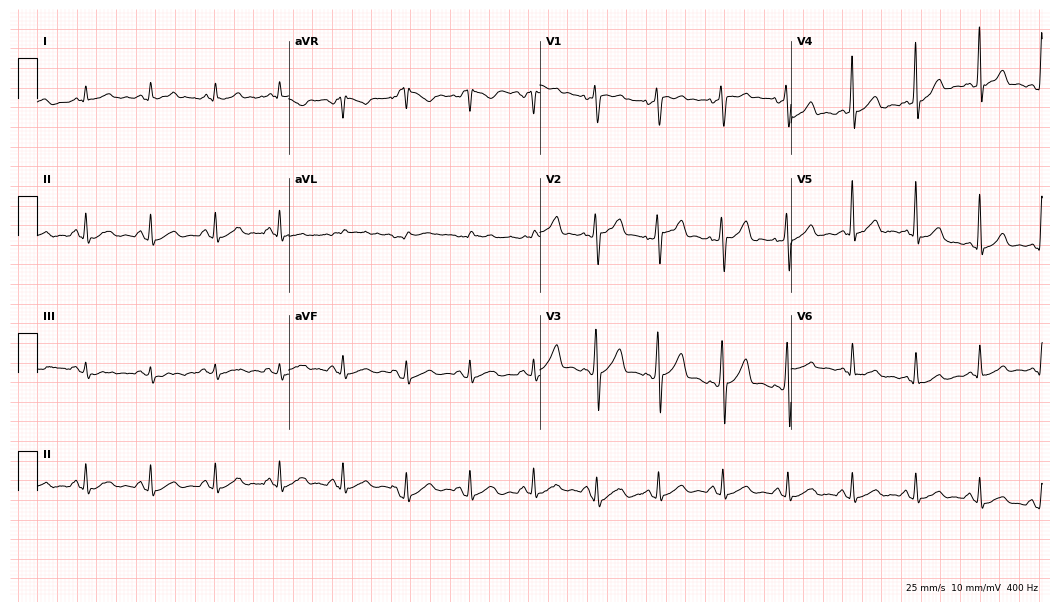
Resting 12-lead electrocardiogram. Patient: a 52-year-old male. Read as a normal ECG.